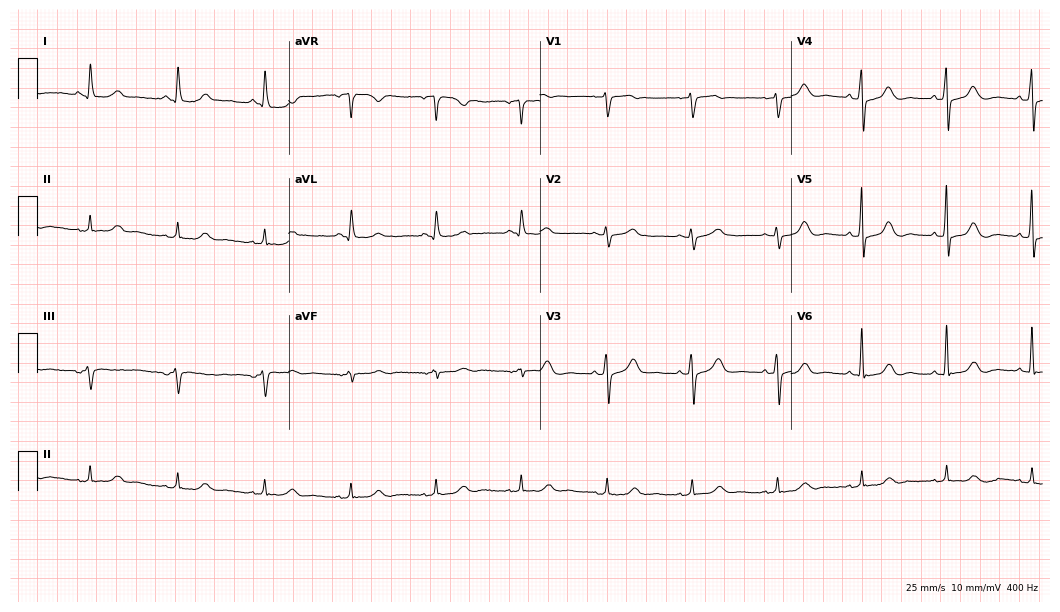
12-lead ECG from a 69-year-old woman. No first-degree AV block, right bundle branch block (RBBB), left bundle branch block (LBBB), sinus bradycardia, atrial fibrillation (AF) or sinus tachycardia recorded for this tracing.